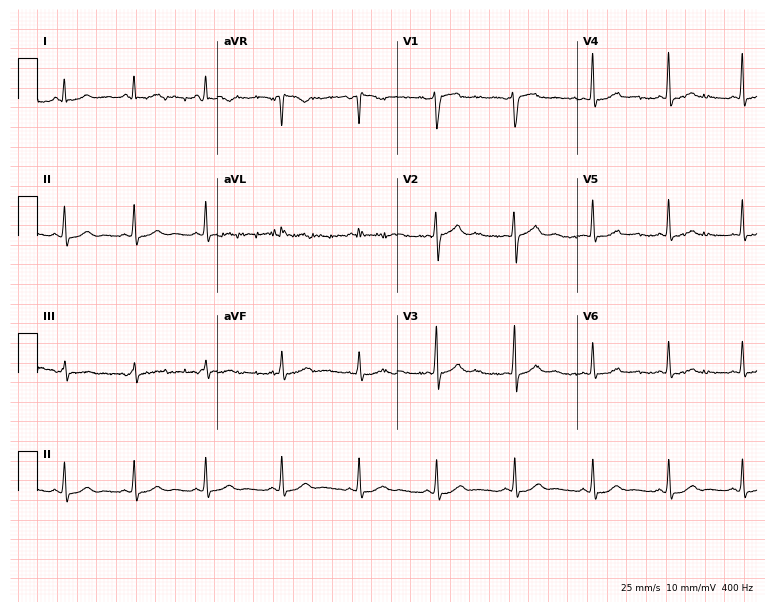
12-lead ECG from a female patient, 30 years old. Recorded interpretation: within normal limits.